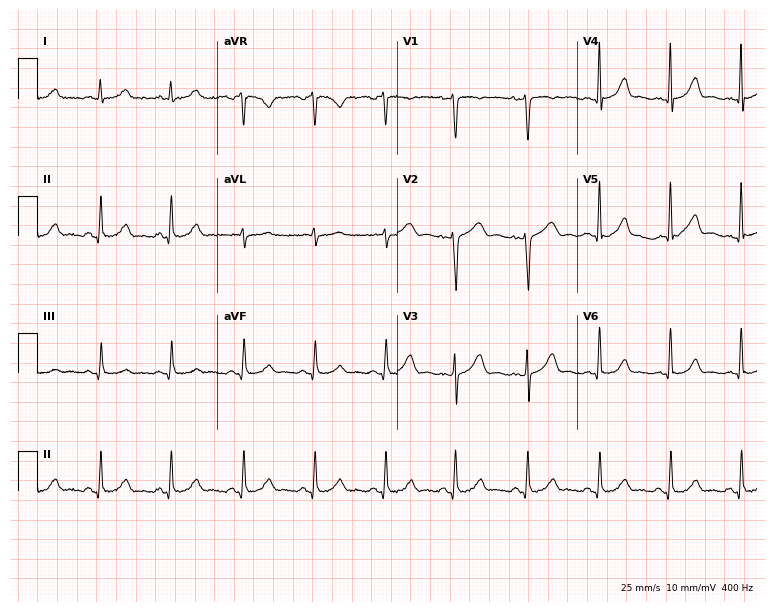
12-lead ECG from a female, 33 years old. Labelled as a normal ECG.